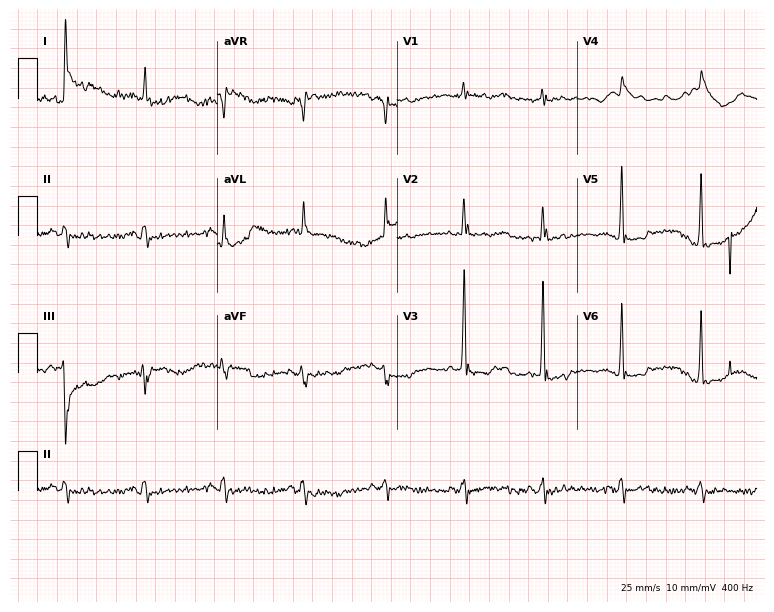
12-lead ECG from a 63-year-old female. Screened for six findings — first-degree AV block, right bundle branch block, left bundle branch block, sinus bradycardia, atrial fibrillation, sinus tachycardia — none is recorded.